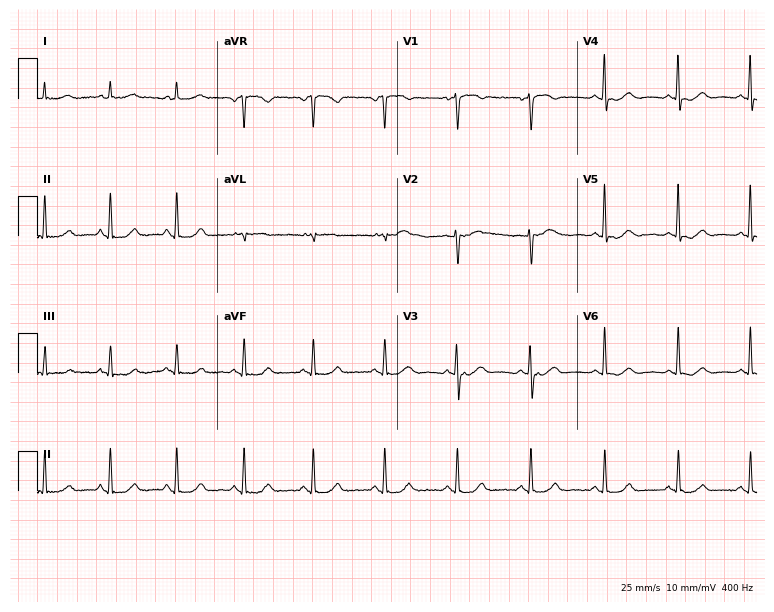
Electrocardiogram, a woman, 53 years old. Overall reading on record: normal ECG.